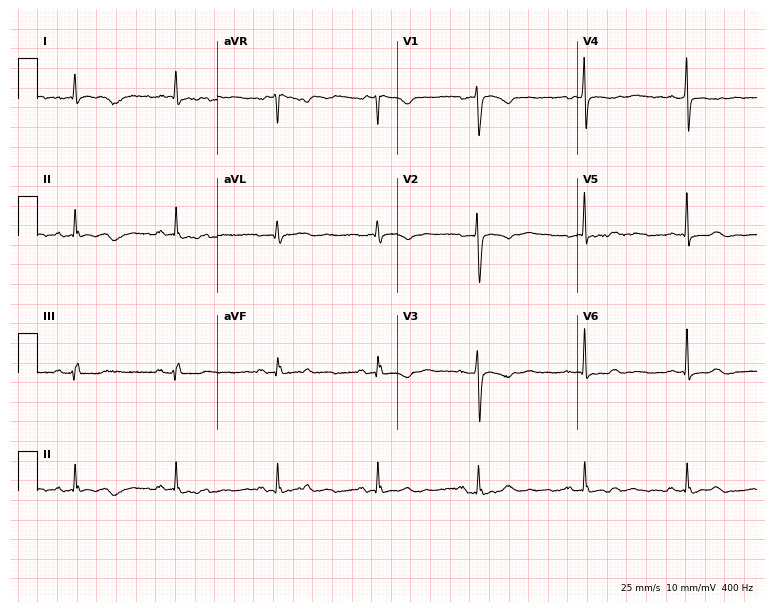
Standard 12-lead ECG recorded from a 42-year-old woman. None of these six findings is recorded: first-degree AV block, right bundle branch block, left bundle branch block, sinus bradycardia, atrial fibrillation, sinus tachycardia. Only these six findings were labelled.